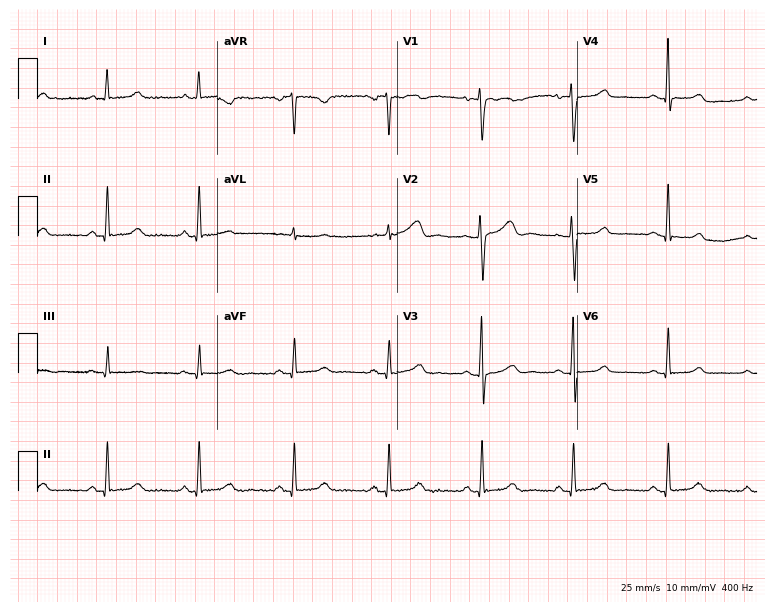
Standard 12-lead ECG recorded from a woman, 47 years old (7.3-second recording at 400 Hz). None of these six findings is recorded: first-degree AV block, right bundle branch block (RBBB), left bundle branch block (LBBB), sinus bradycardia, atrial fibrillation (AF), sinus tachycardia.